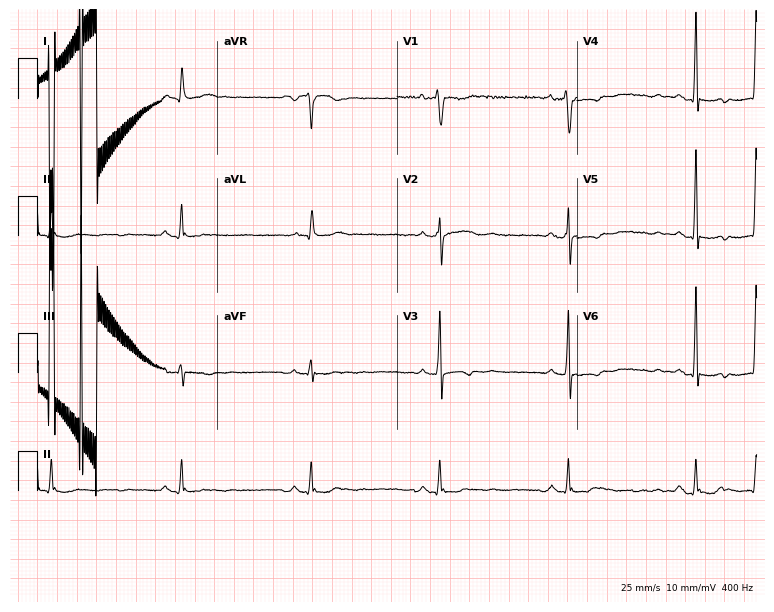
Standard 12-lead ECG recorded from a 44-year-old male patient. The tracing shows sinus bradycardia (a sinus rate of 50 beats per minute or less).